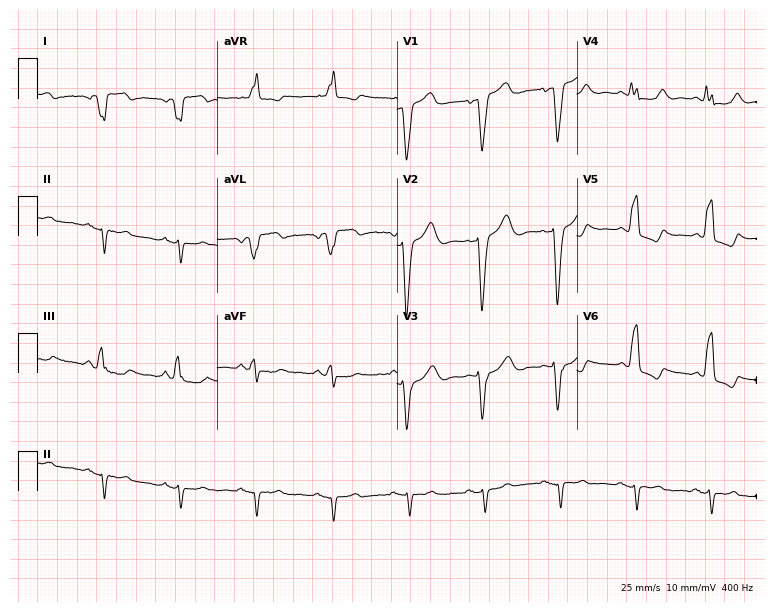
12-lead ECG from a female patient, 68 years old. Screened for six findings — first-degree AV block, right bundle branch block, left bundle branch block, sinus bradycardia, atrial fibrillation, sinus tachycardia — none is recorded.